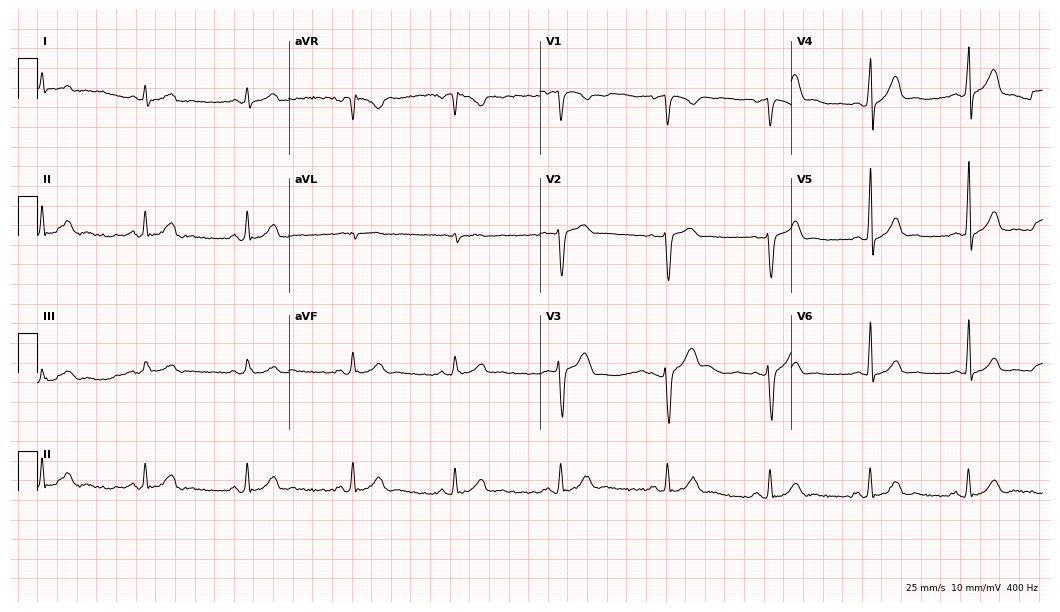
Standard 12-lead ECG recorded from a 30-year-old male patient. Read as a normal ECG.